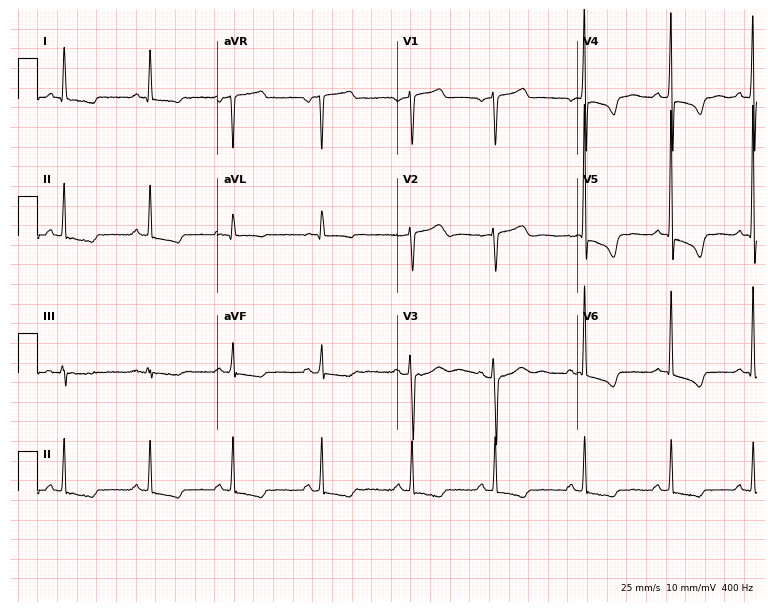
Electrocardiogram (7.3-second recording at 400 Hz), a female, 65 years old. Of the six screened findings (first-degree AV block, right bundle branch block, left bundle branch block, sinus bradycardia, atrial fibrillation, sinus tachycardia), none is recorded.